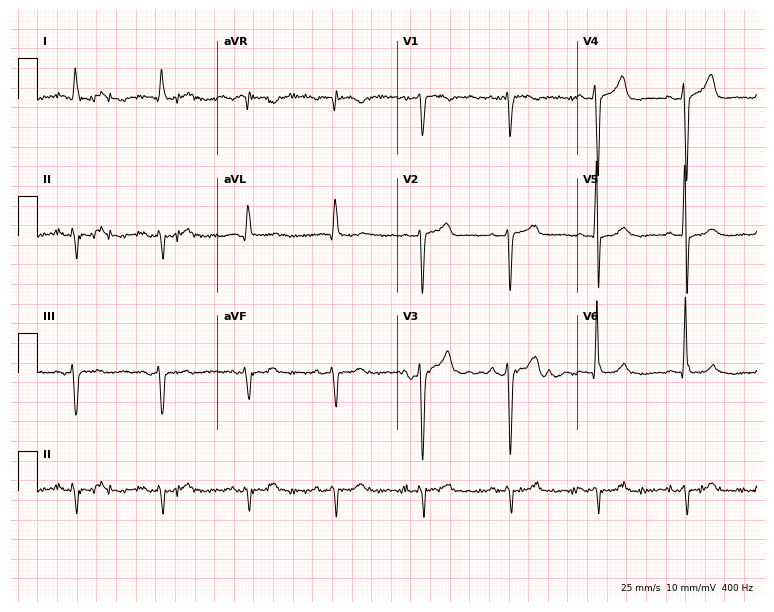
12-lead ECG from a man, 77 years old. Screened for six findings — first-degree AV block, right bundle branch block, left bundle branch block, sinus bradycardia, atrial fibrillation, sinus tachycardia — none is recorded. Findings outside these six are not listed.